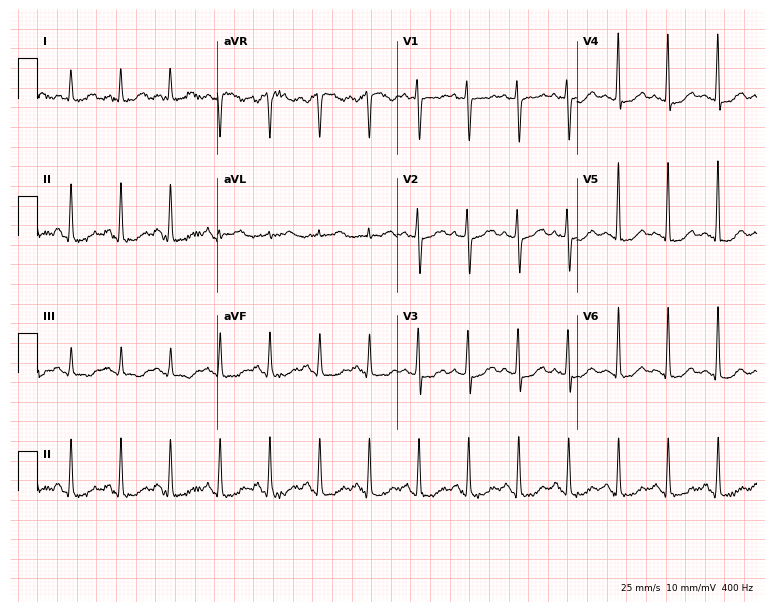
ECG — a woman, 59 years old. Findings include sinus tachycardia (a sinus rate of 100 beats per minute or more).